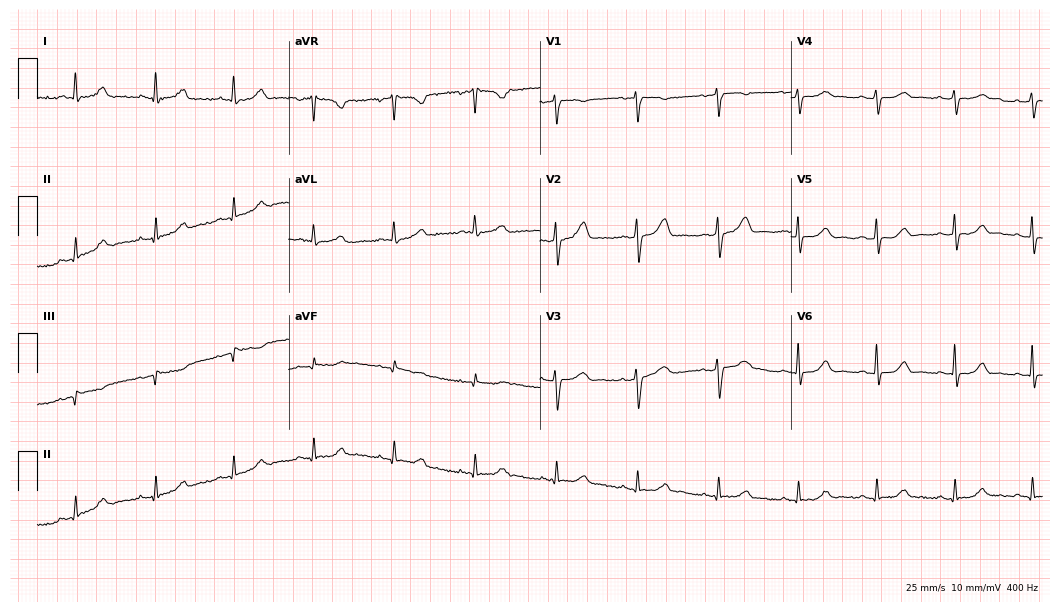
ECG — a female patient, 58 years old. Screened for six findings — first-degree AV block, right bundle branch block (RBBB), left bundle branch block (LBBB), sinus bradycardia, atrial fibrillation (AF), sinus tachycardia — none is recorded. Only these six findings were labelled.